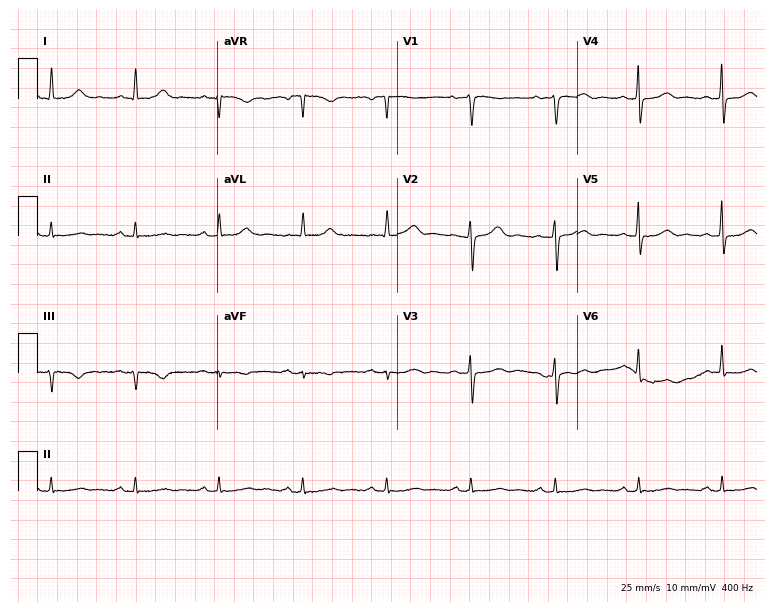
12-lead ECG from a 58-year-old female. Recorded interpretation: within normal limits.